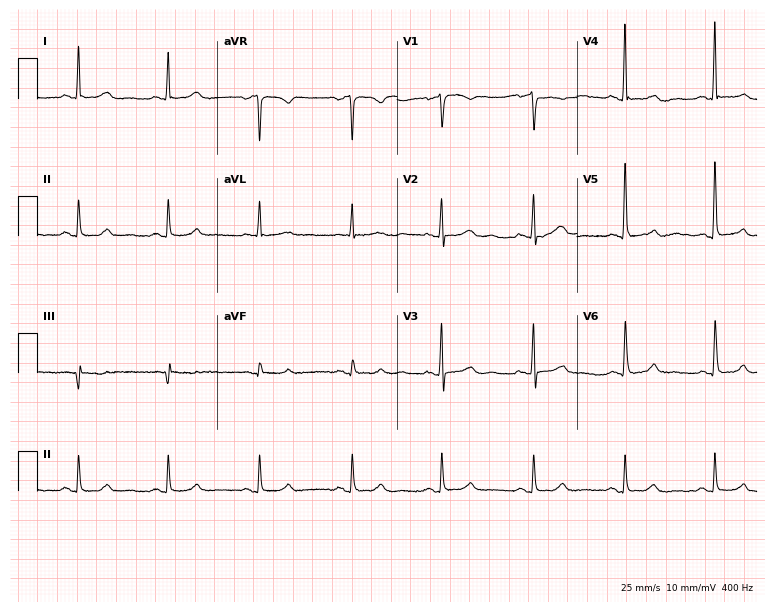
12-lead ECG from a 62-year-old woman (7.3-second recording at 400 Hz). No first-degree AV block, right bundle branch block, left bundle branch block, sinus bradycardia, atrial fibrillation or sinus tachycardia recorded for this tracing. Findings outside these six are not listed.